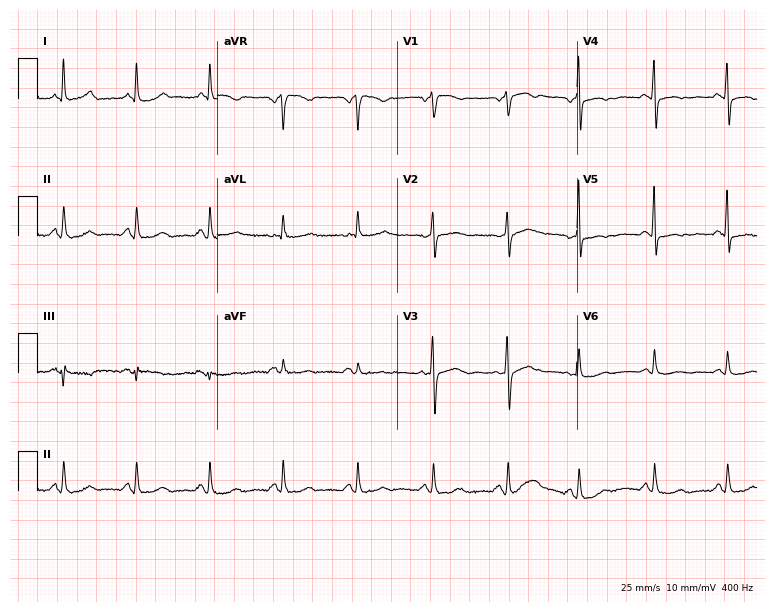
Electrocardiogram, a 64-year-old female patient. Overall reading on record: normal ECG.